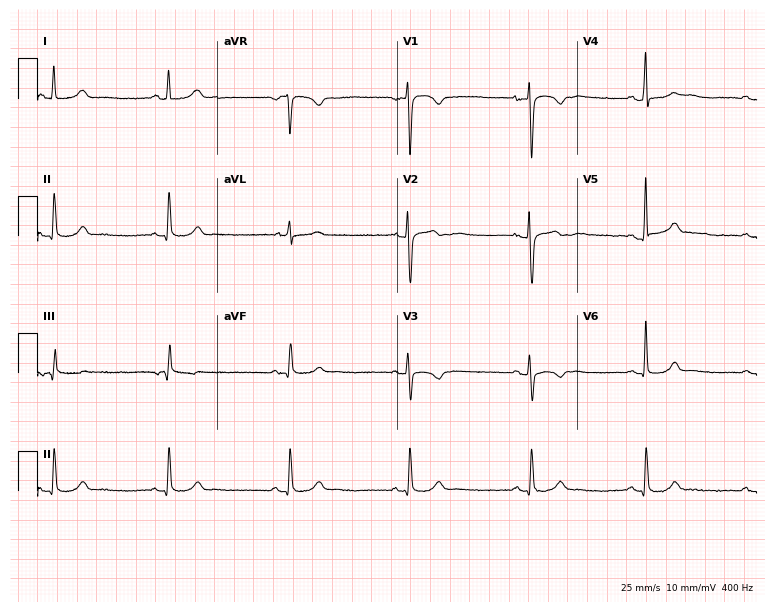
Electrocardiogram (7.3-second recording at 400 Hz), a woman, 21 years old. Interpretation includes sinus bradycardia (a sinus rate of 50 beats per minute or less).